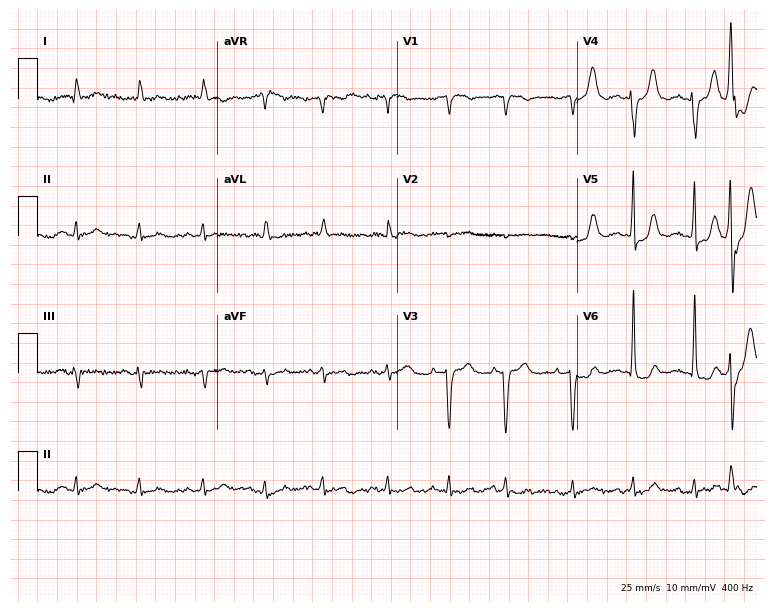
12-lead ECG (7.3-second recording at 400 Hz) from a female, 72 years old. Screened for six findings — first-degree AV block, right bundle branch block, left bundle branch block, sinus bradycardia, atrial fibrillation, sinus tachycardia — none is recorded.